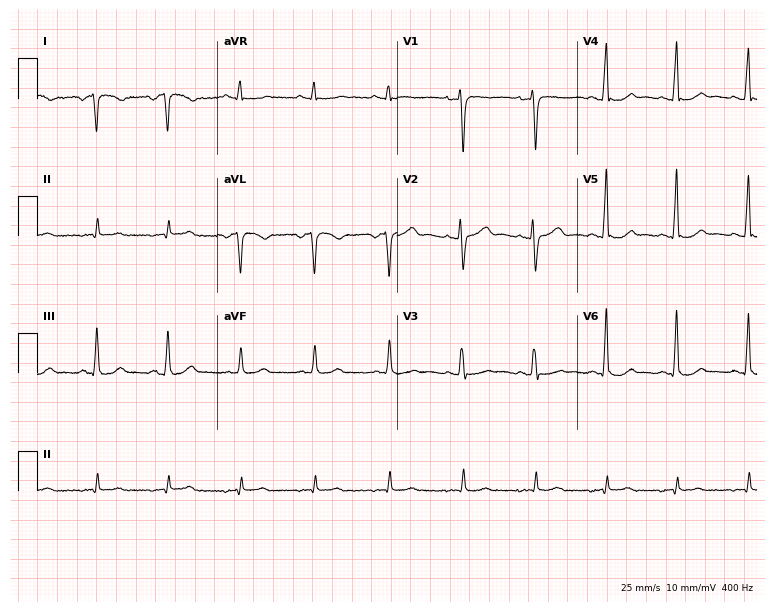
ECG — a woman, 40 years old. Labelled as a normal ECG.